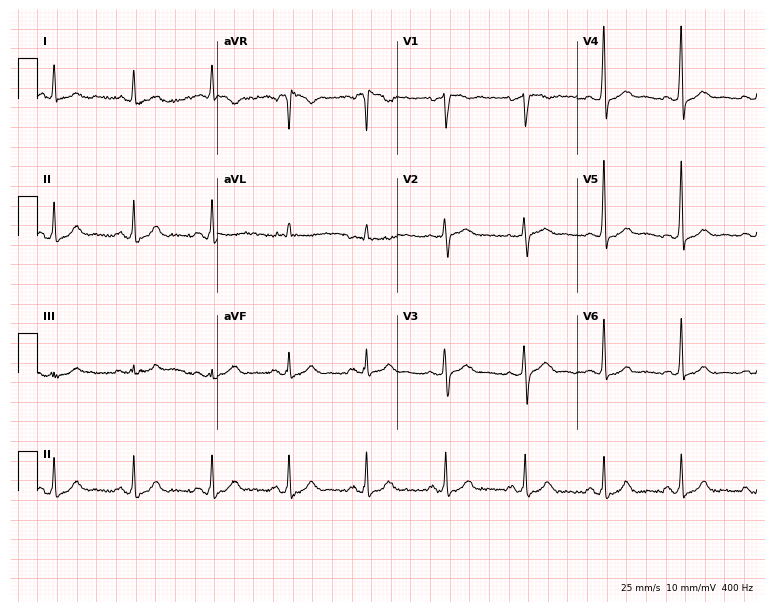
12-lead ECG from a male, 59 years old (7.3-second recording at 400 Hz). Recorded interpretation: within normal limits.